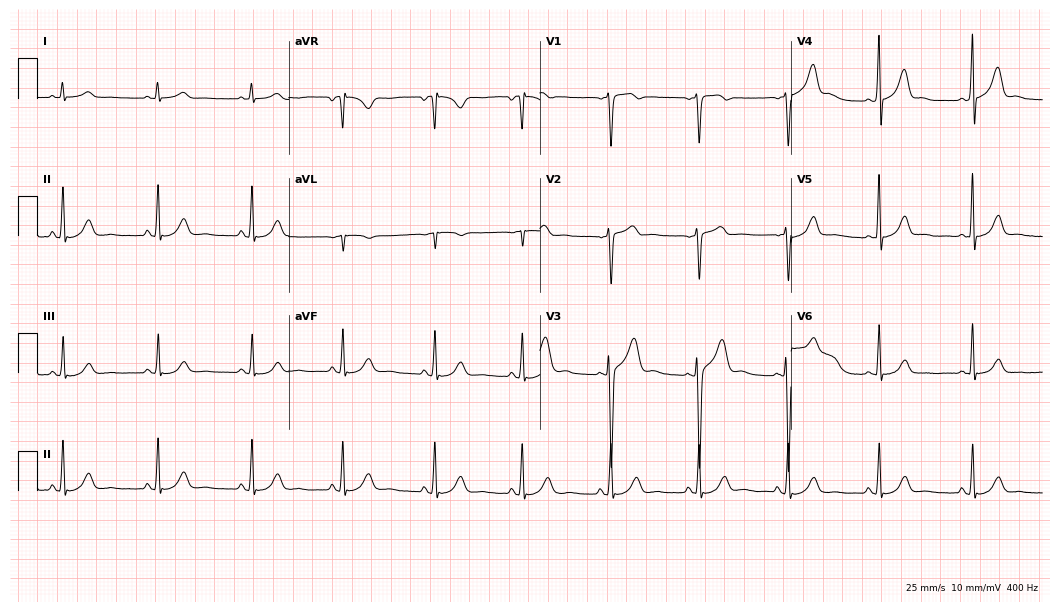
Resting 12-lead electrocardiogram (10.2-second recording at 400 Hz). Patient: a 45-year-old woman. Read as a normal ECG.